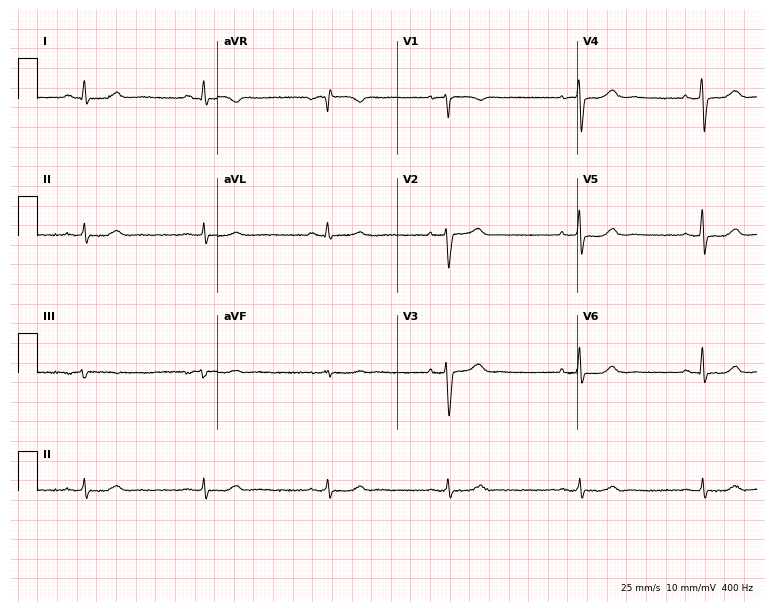
ECG (7.3-second recording at 400 Hz) — a female, 55 years old. Findings include sinus bradycardia (a sinus rate of 50 beats per minute or less).